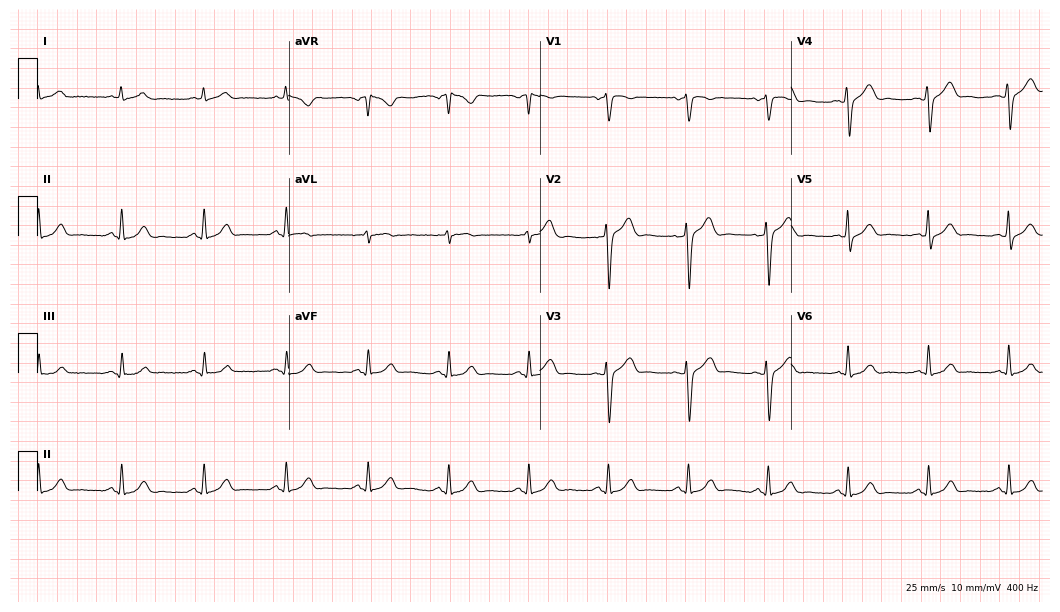
12-lead ECG (10.2-second recording at 400 Hz) from a man, 38 years old. Labelled as a normal ECG.